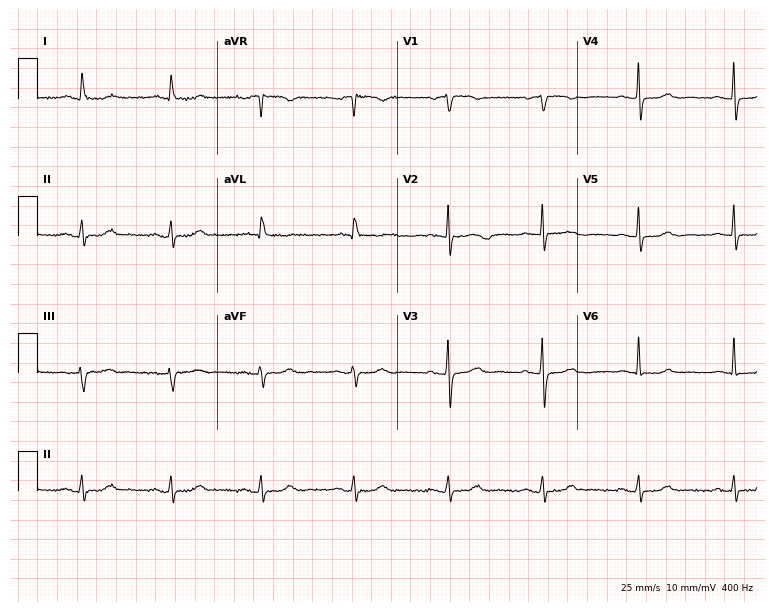
Standard 12-lead ECG recorded from a woman, 76 years old (7.3-second recording at 400 Hz). None of these six findings is recorded: first-degree AV block, right bundle branch block, left bundle branch block, sinus bradycardia, atrial fibrillation, sinus tachycardia. Only these six findings were labelled.